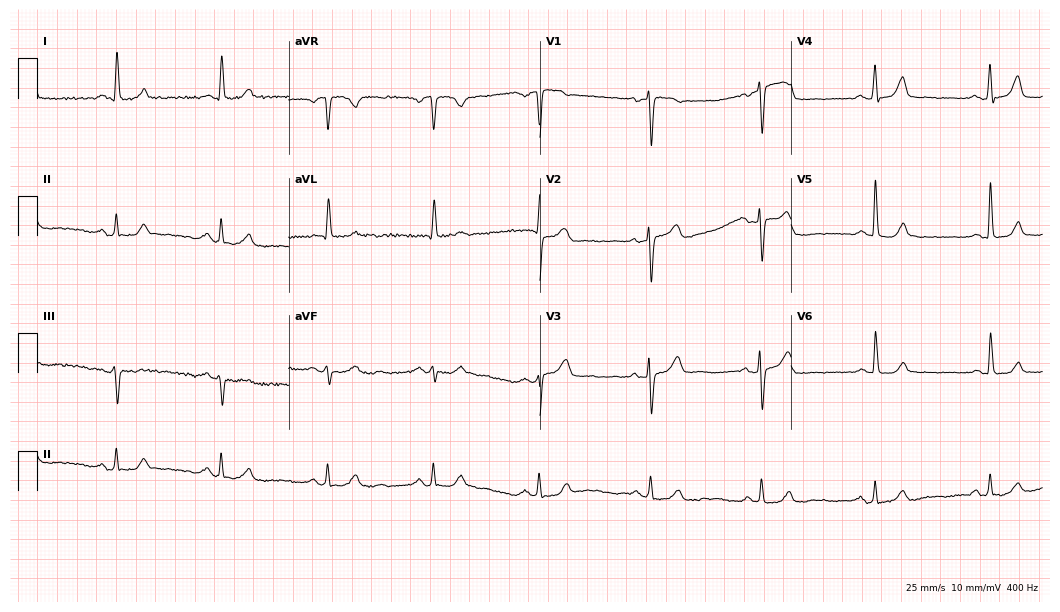
Standard 12-lead ECG recorded from a female, 79 years old (10.2-second recording at 400 Hz). Read as a normal ECG.